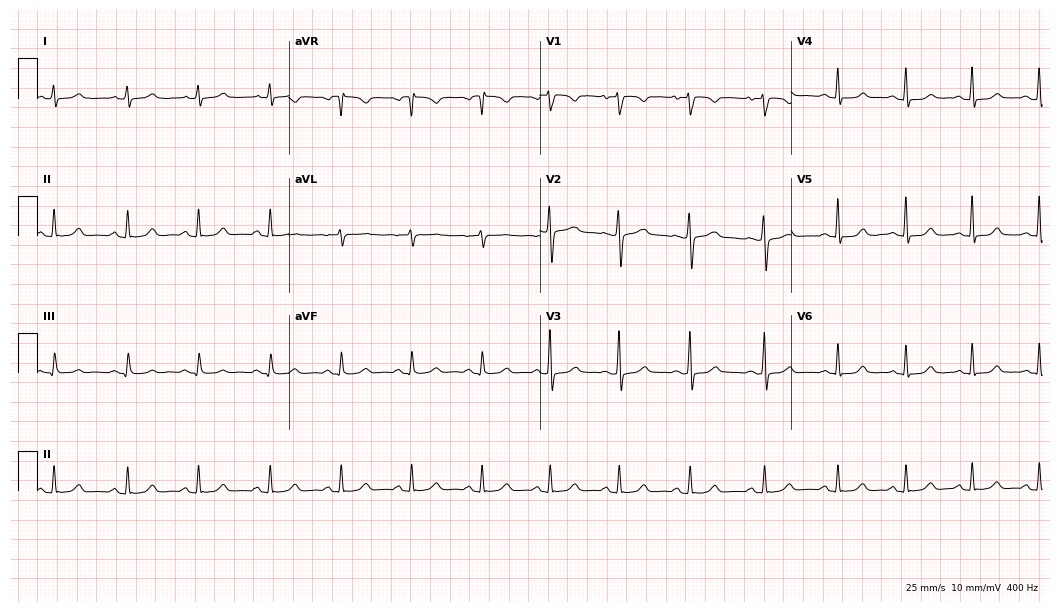
12-lead ECG from an 18-year-old woman. Recorded interpretation: within normal limits.